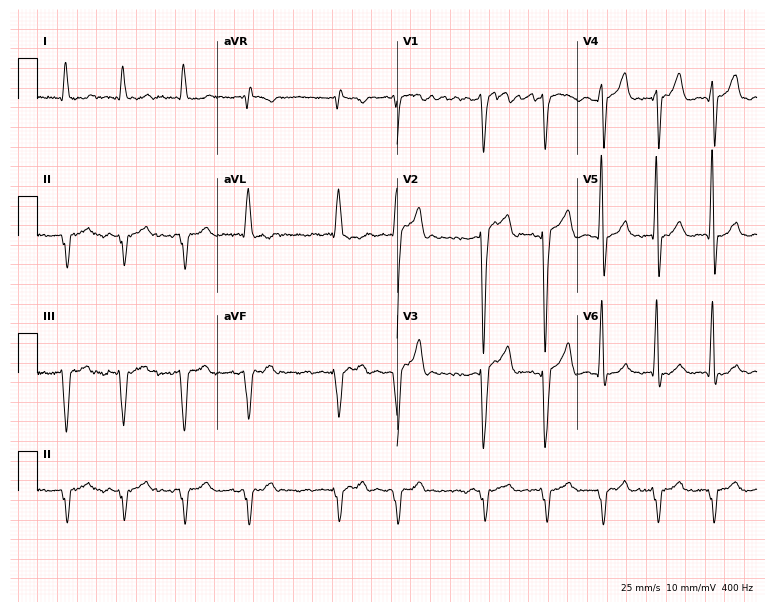
Electrocardiogram, a male patient, 67 years old. Interpretation includes atrial fibrillation.